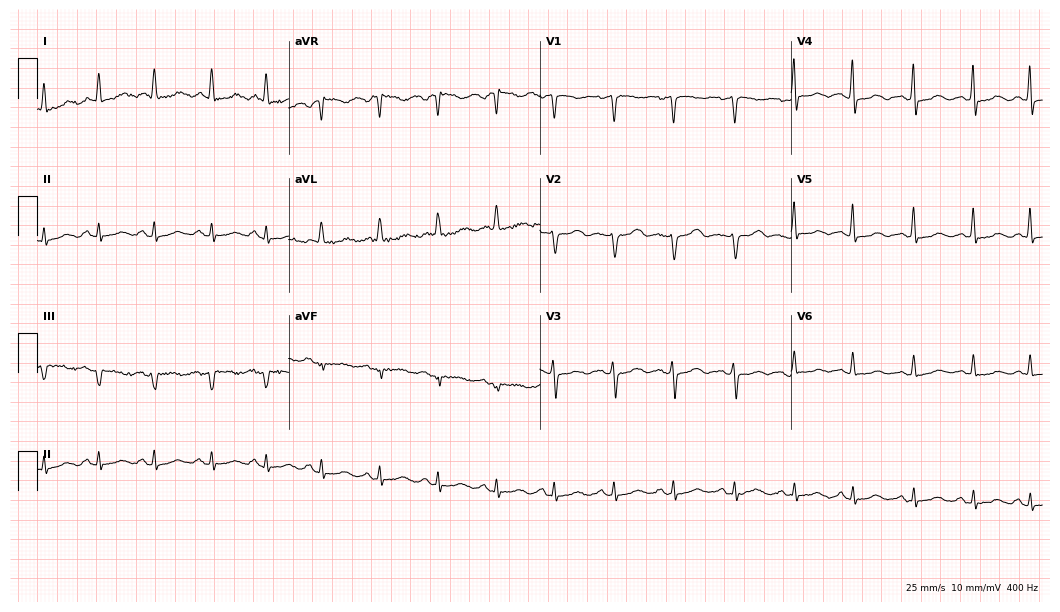
12-lead ECG (10.2-second recording at 400 Hz) from a female, 55 years old. Findings include sinus tachycardia (a sinus rate of 100 beats per minute or more).